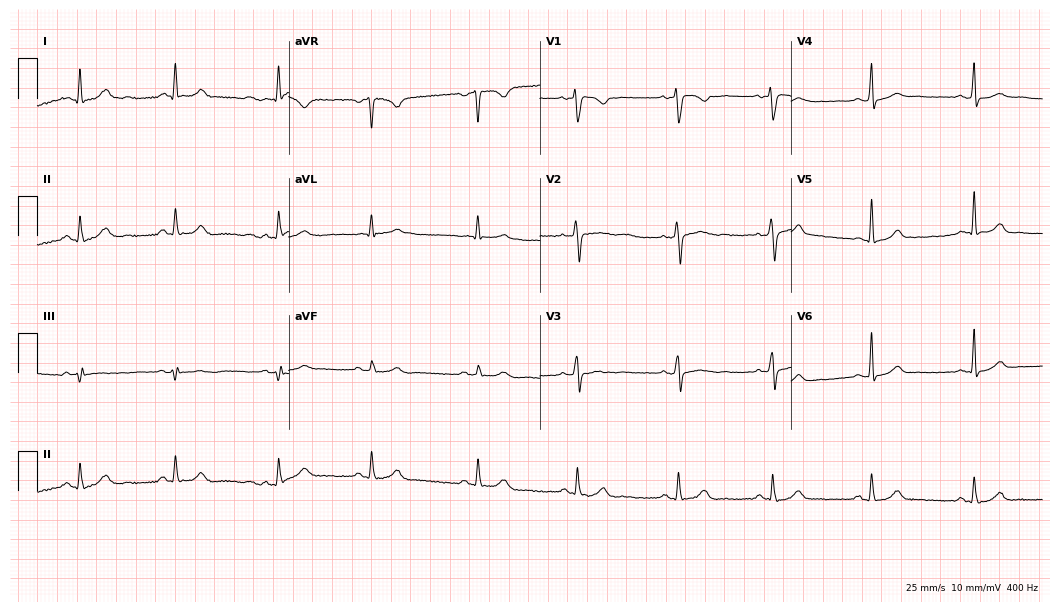
Resting 12-lead electrocardiogram (10.2-second recording at 400 Hz). Patient: a female, 28 years old. Read as a normal ECG.